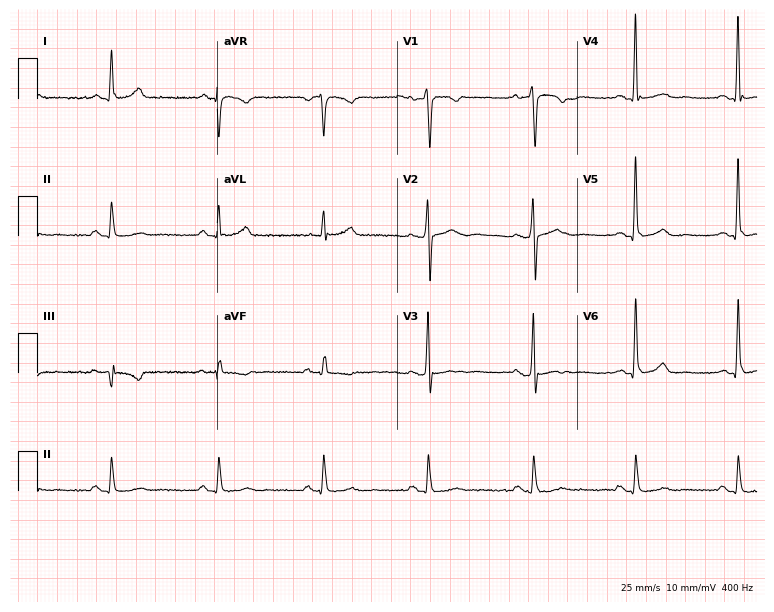
Standard 12-lead ECG recorded from a 51-year-old male patient. None of these six findings is recorded: first-degree AV block, right bundle branch block, left bundle branch block, sinus bradycardia, atrial fibrillation, sinus tachycardia. Only these six findings were labelled.